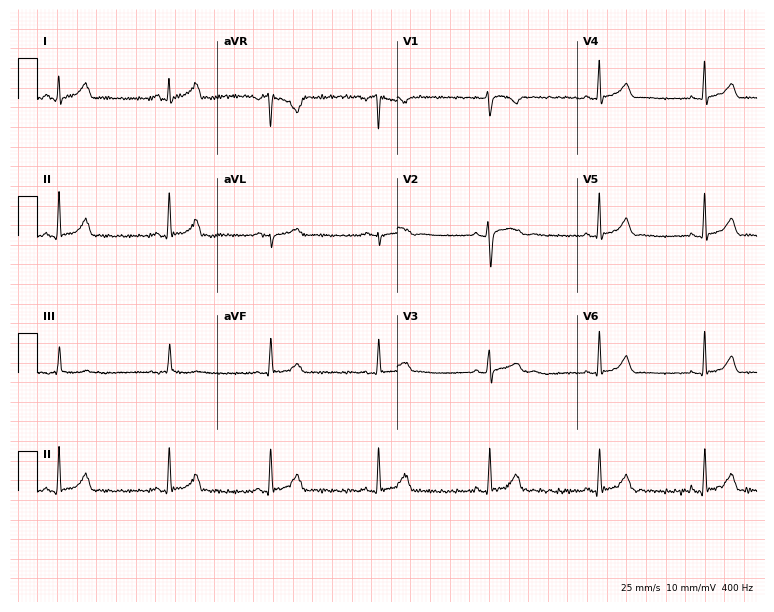
Electrocardiogram (7.3-second recording at 400 Hz), a 23-year-old woman. Overall reading on record: normal ECG.